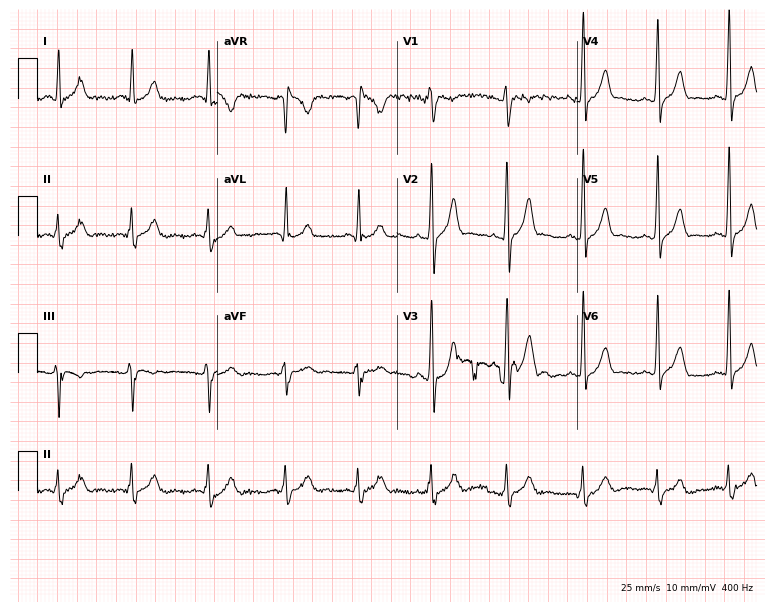
Standard 12-lead ECG recorded from a 23-year-old man (7.3-second recording at 400 Hz). None of these six findings is recorded: first-degree AV block, right bundle branch block (RBBB), left bundle branch block (LBBB), sinus bradycardia, atrial fibrillation (AF), sinus tachycardia. Other findings, if any, are not listed.